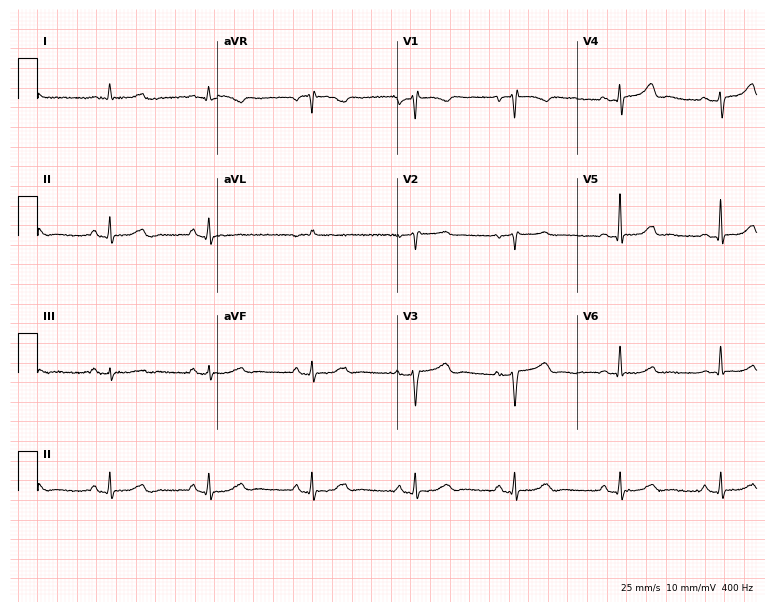
12-lead ECG from a woman, 62 years old (7.3-second recording at 400 Hz). Recorded interpretation: within normal limits.